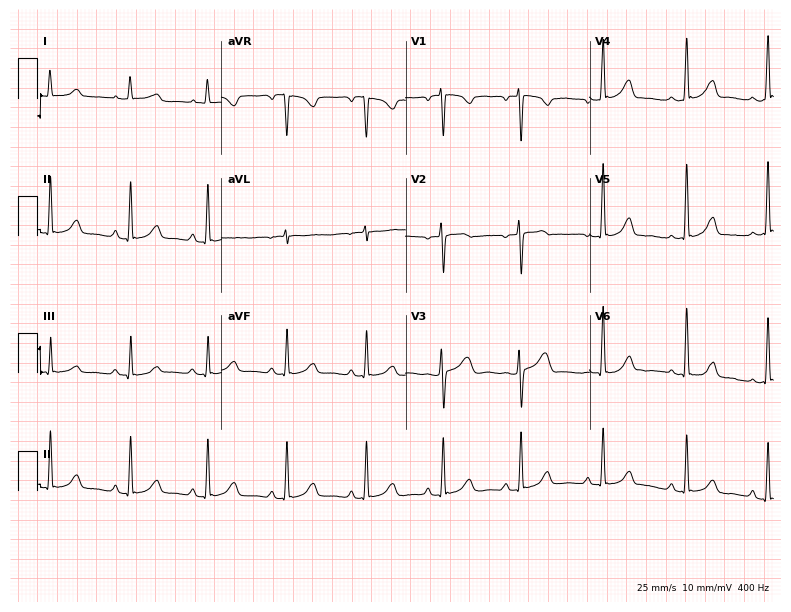
Standard 12-lead ECG recorded from a woman, 45 years old (7.5-second recording at 400 Hz). Read as a normal ECG.